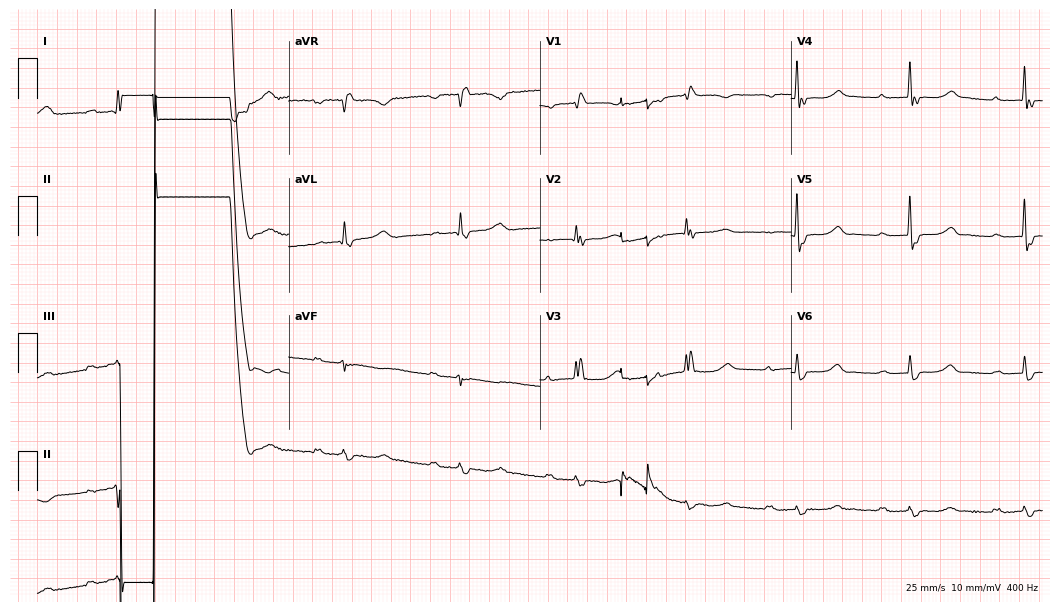
12-lead ECG (10.2-second recording at 400 Hz) from a 75-year-old man. Findings include first-degree AV block, right bundle branch block, atrial fibrillation.